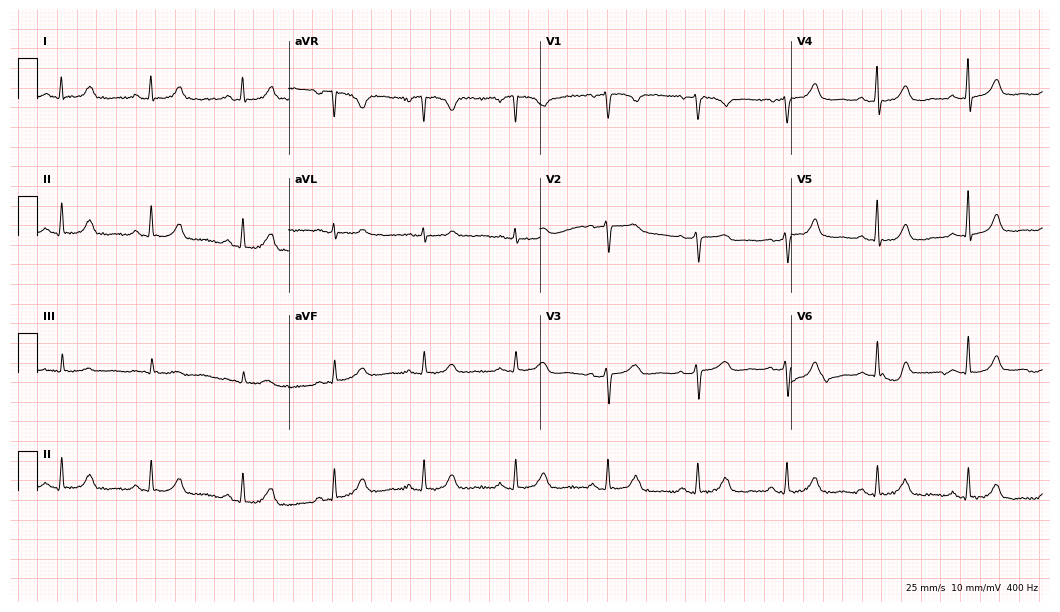
Standard 12-lead ECG recorded from a 53-year-old woman (10.2-second recording at 400 Hz). Read as a normal ECG.